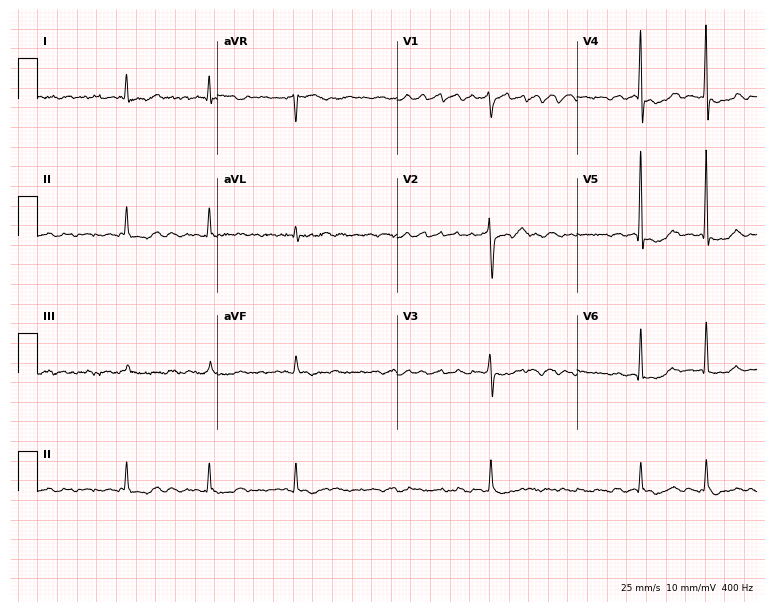
ECG — a woman, 82 years old. Findings include atrial fibrillation (AF).